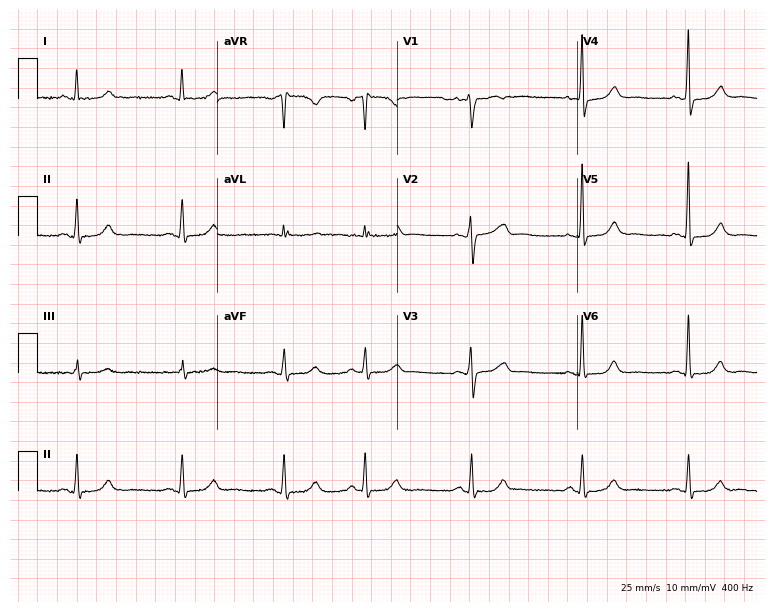
Standard 12-lead ECG recorded from a female, 65 years old. None of these six findings is recorded: first-degree AV block, right bundle branch block (RBBB), left bundle branch block (LBBB), sinus bradycardia, atrial fibrillation (AF), sinus tachycardia. Findings outside these six are not listed.